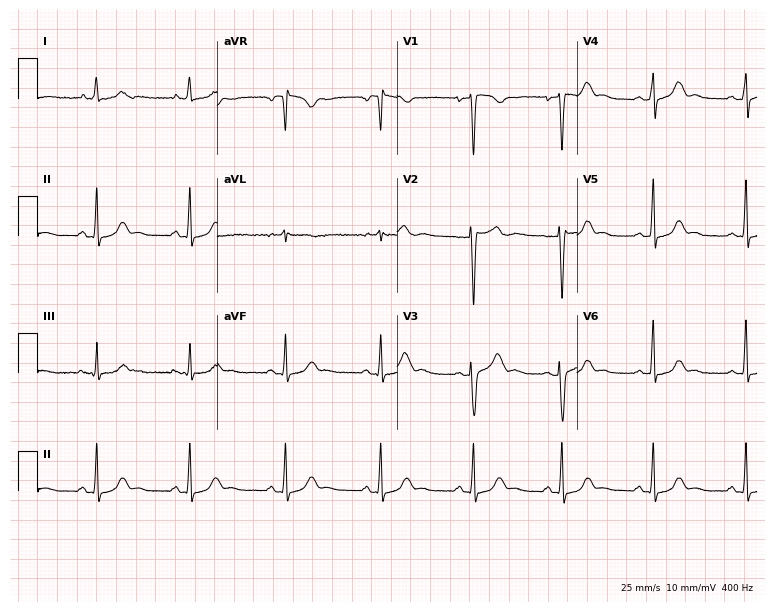
12-lead ECG from a 32-year-old woman (7.3-second recording at 400 Hz). No first-degree AV block, right bundle branch block, left bundle branch block, sinus bradycardia, atrial fibrillation or sinus tachycardia recorded for this tracing. Other findings, if any, are not listed.